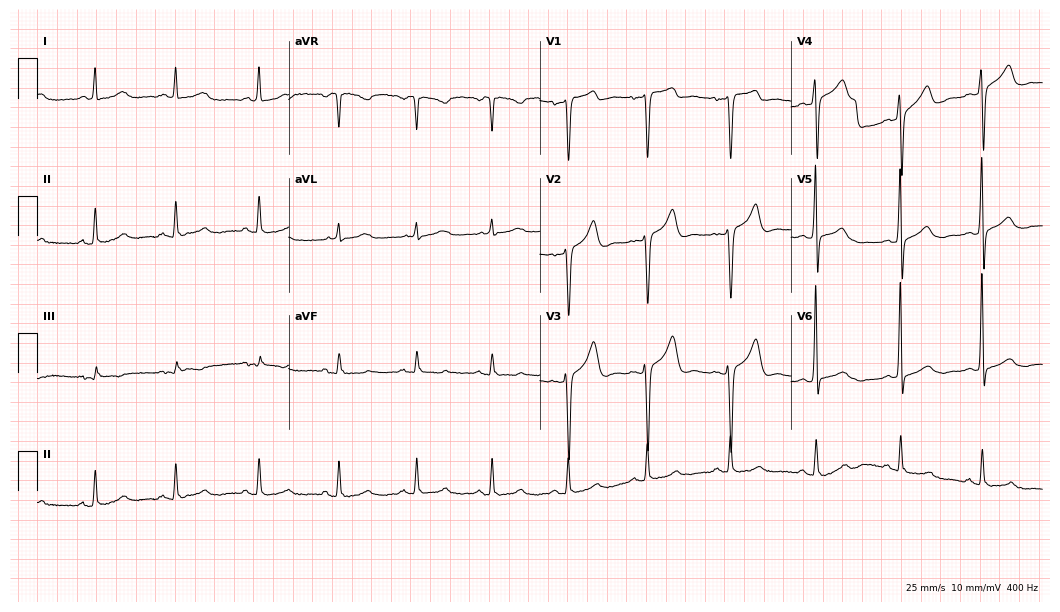
12-lead ECG (10.2-second recording at 400 Hz) from a male, 31 years old. Labelled as a normal ECG.